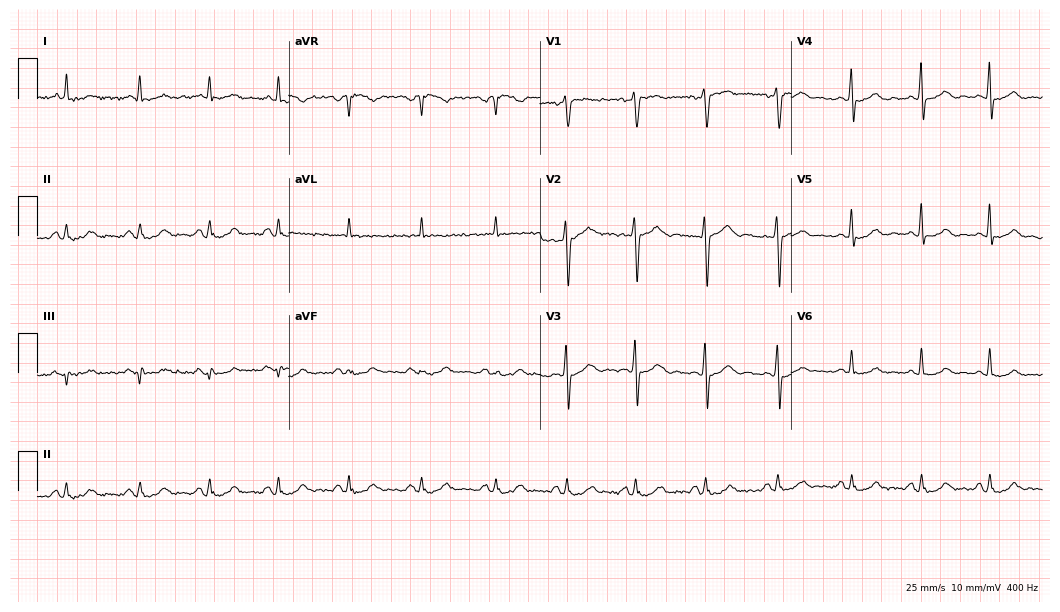
12-lead ECG (10.2-second recording at 400 Hz) from a male, 52 years old. Screened for six findings — first-degree AV block, right bundle branch block, left bundle branch block, sinus bradycardia, atrial fibrillation, sinus tachycardia — none is recorded. Other findings, if any, are not listed.